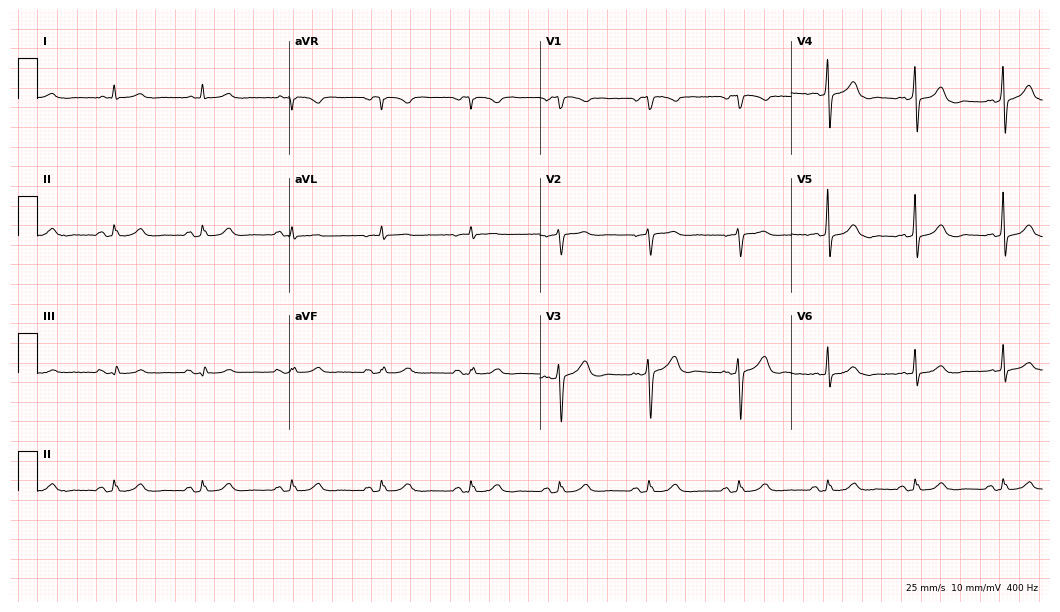
12-lead ECG from a 79-year-old male (10.2-second recording at 400 Hz). Recorded interpretation: within normal limits.